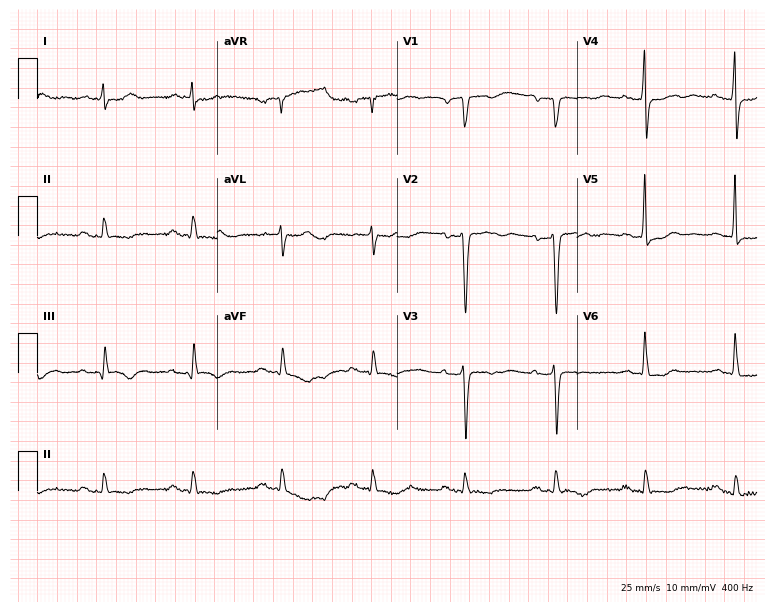
Electrocardiogram (7.3-second recording at 400 Hz), a 61-year-old male. Of the six screened findings (first-degree AV block, right bundle branch block, left bundle branch block, sinus bradycardia, atrial fibrillation, sinus tachycardia), none is recorded. Findings outside these six are not listed.